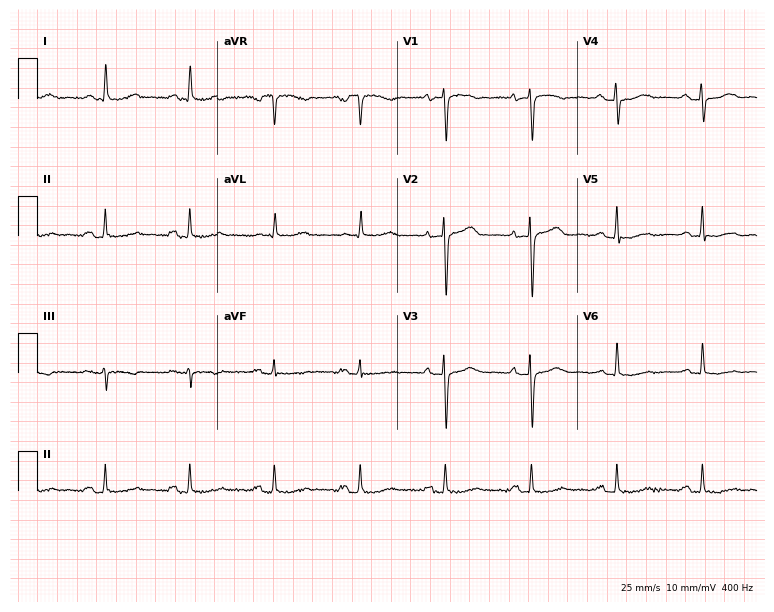
12-lead ECG from a woman, 65 years old. No first-degree AV block, right bundle branch block (RBBB), left bundle branch block (LBBB), sinus bradycardia, atrial fibrillation (AF) or sinus tachycardia recorded for this tracing. Only these six findings were labelled.